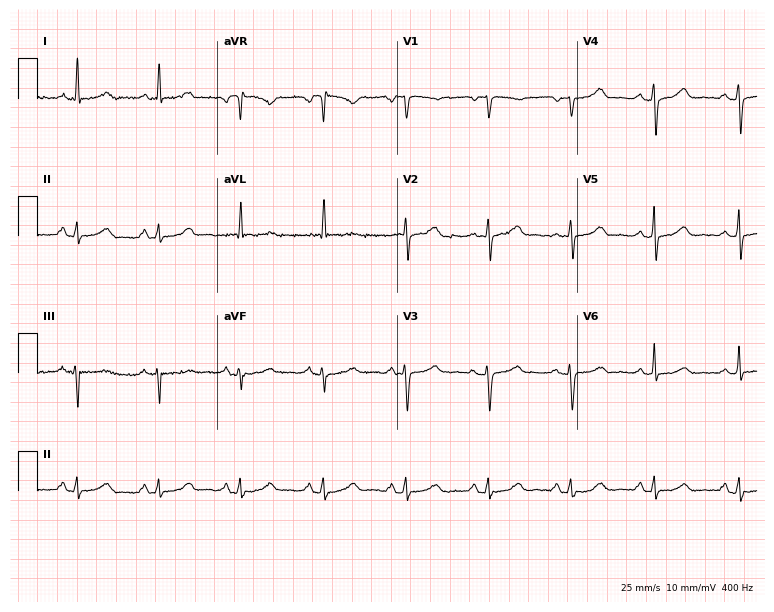
Electrocardiogram, a female, 64 years old. Overall reading on record: normal ECG.